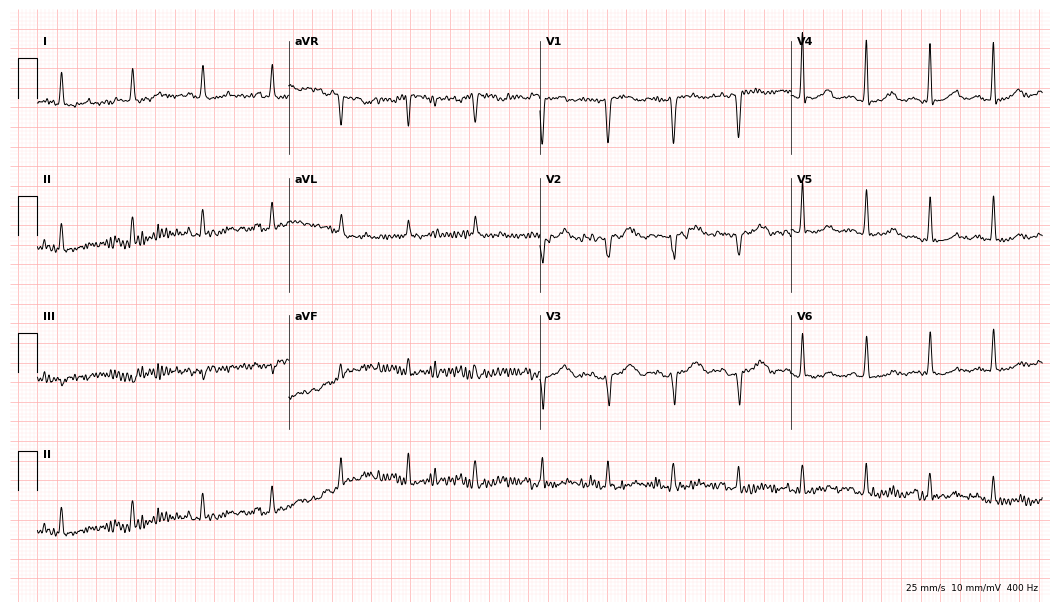
12-lead ECG from a 70-year-old female patient. Screened for six findings — first-degree AV block, right bundle branch block, left bundle branch block, sinus bradycardia, atrial fibrillation, sinus tachycardia — none is recorded. Only these six findings were labelled.